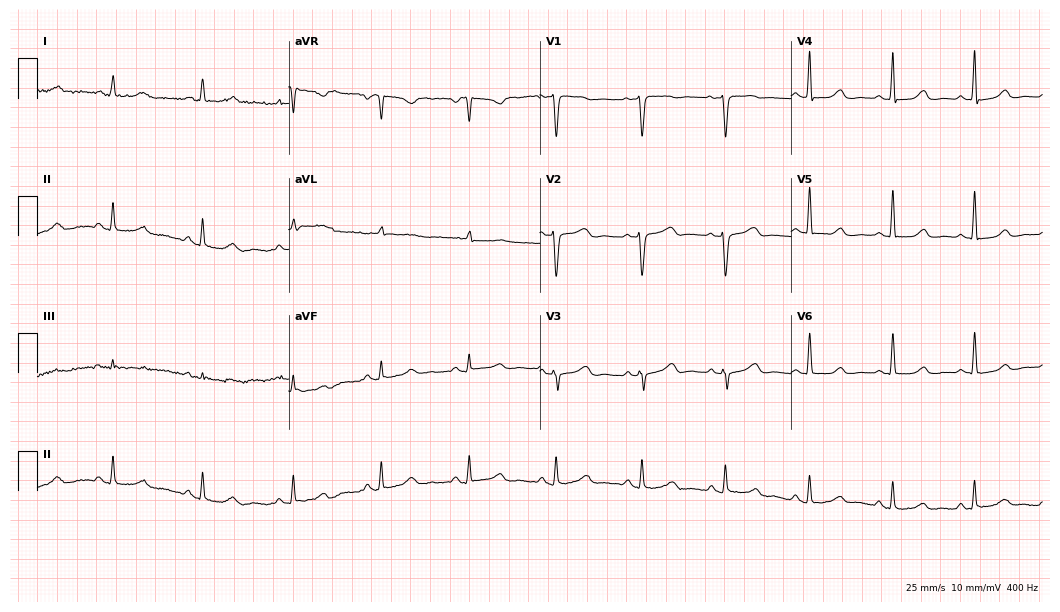
Standard 12-lead ECG recorded from a 48-year-old female patient. None of these six findings is recorded: first-degree AV block, right bundle branch block, left bundle branch block, sinus bradycardia, atrial fibrillation, sinus tachycardia. Other findings, if any, are not listed.